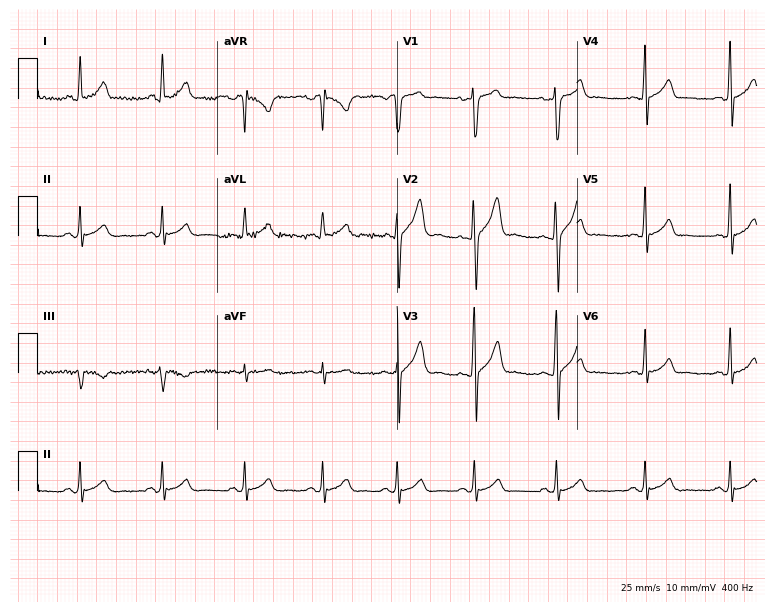
Resting 12-lead electrocardiogram. Patient: a 24-year-old man. Read as a normal ECG.